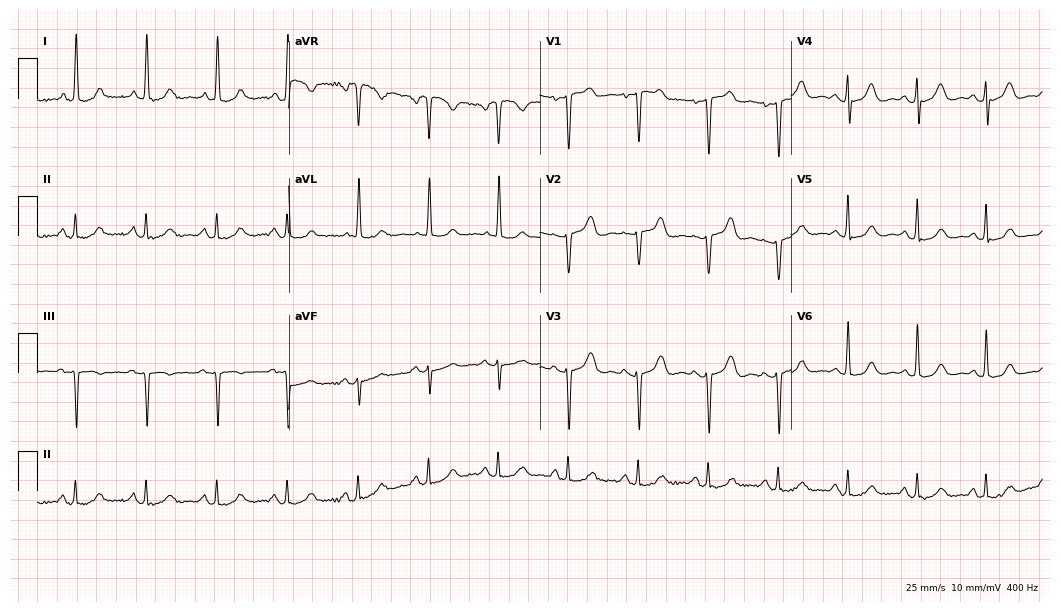
Electrocardiogram (10.2-second recording at 400 Hz), a 75-year-old woman. Overall reading on record: normal ECG.